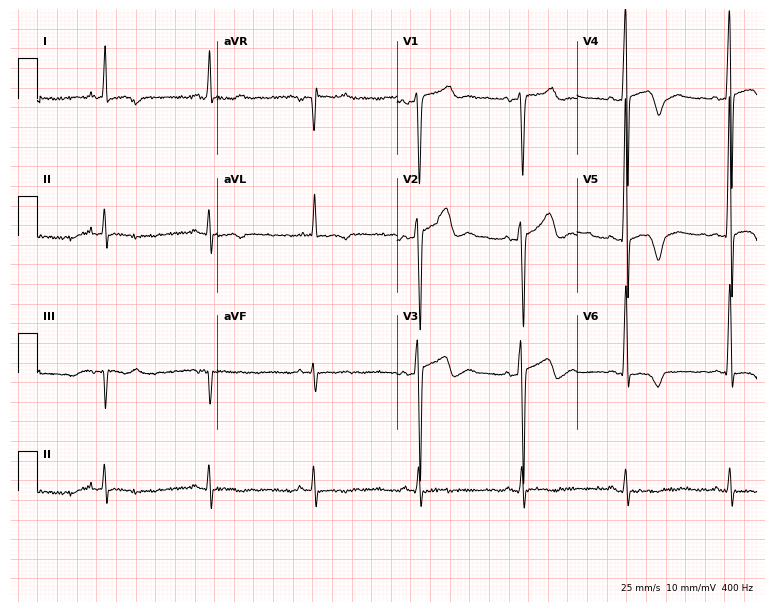
12-lead ECG from a 66-year-old male patient. No first-degree AV block, right bundle branch block, left bundle branch block, sinus bradycardia, atrial fibrillation or sinus tachycardia recorded for this tracing.